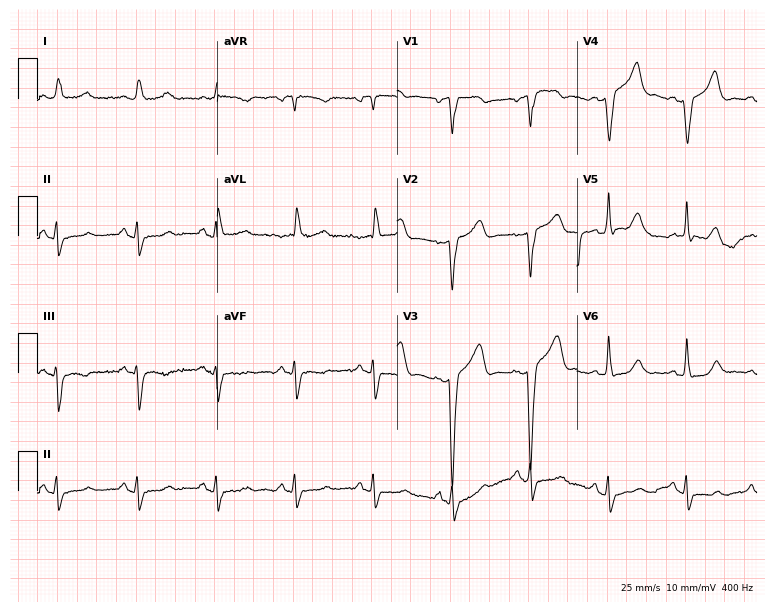
12-lead ECG from a male, 80 years old (7.3-second recording at 400 Hz). No first-degree AV block, right bundle branch block (RBBB), left bundle branch block (LBBB), sinus bradycardia, atrial fibrillation (AF) or sinus tachycardia recorded for this tracing. Findings outside these six are not listed.